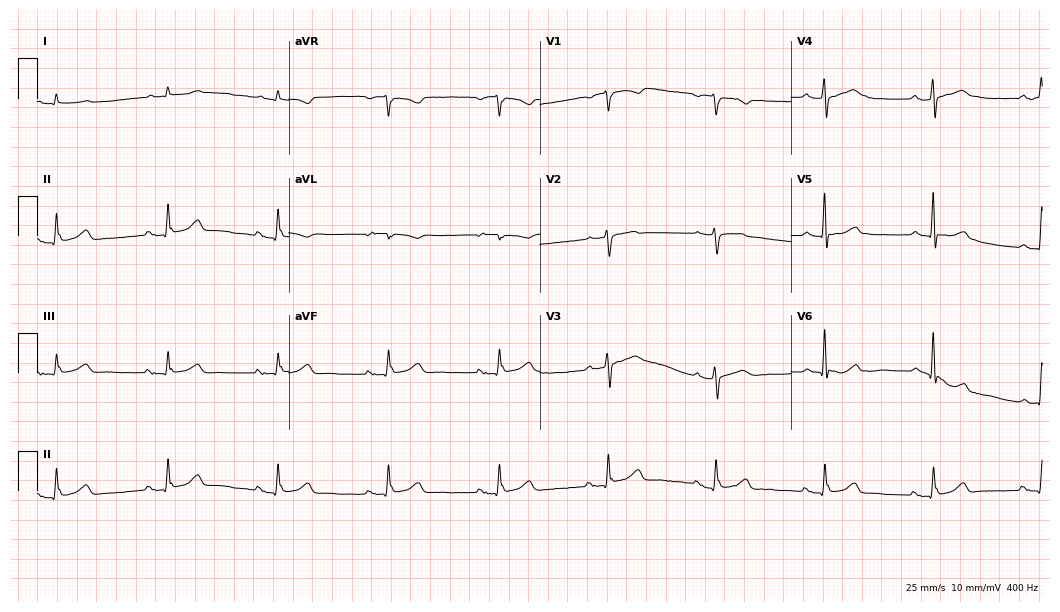
Standard 12-lead ECG recorded from a 76-year-old man. None of these six findings is recorded: first-degree AV block, right bundle branch block (RBBB), left bundle branch block (LBBB), sinus bradycardia, atrial fibrillation (AF), sinus tachycardia.